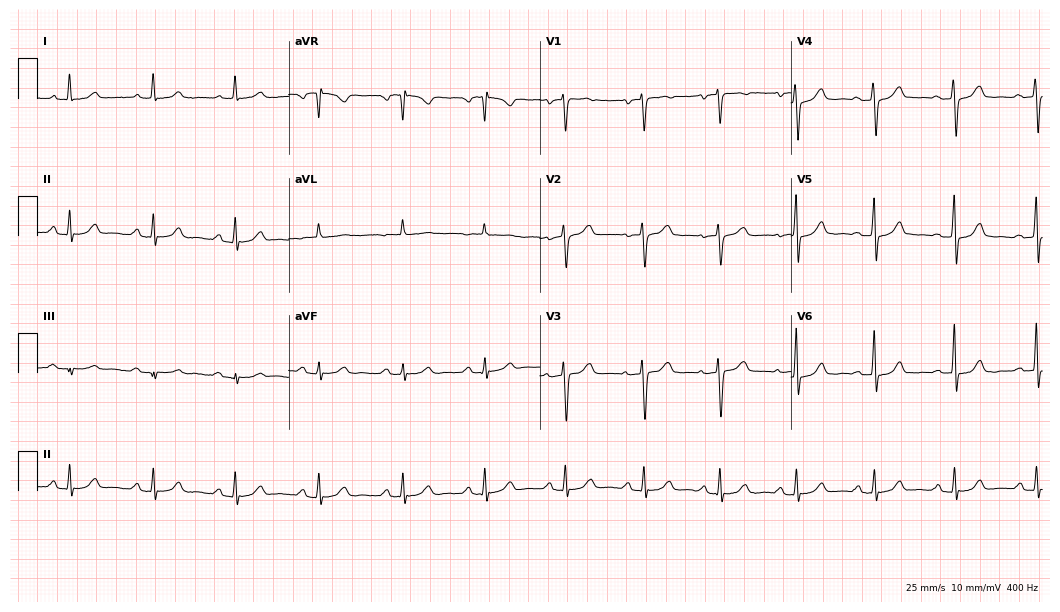
12-lead ECG from a 59-year-old female (10.2-second recording at 400 Hz). Recorded interpretation: within normal limits.